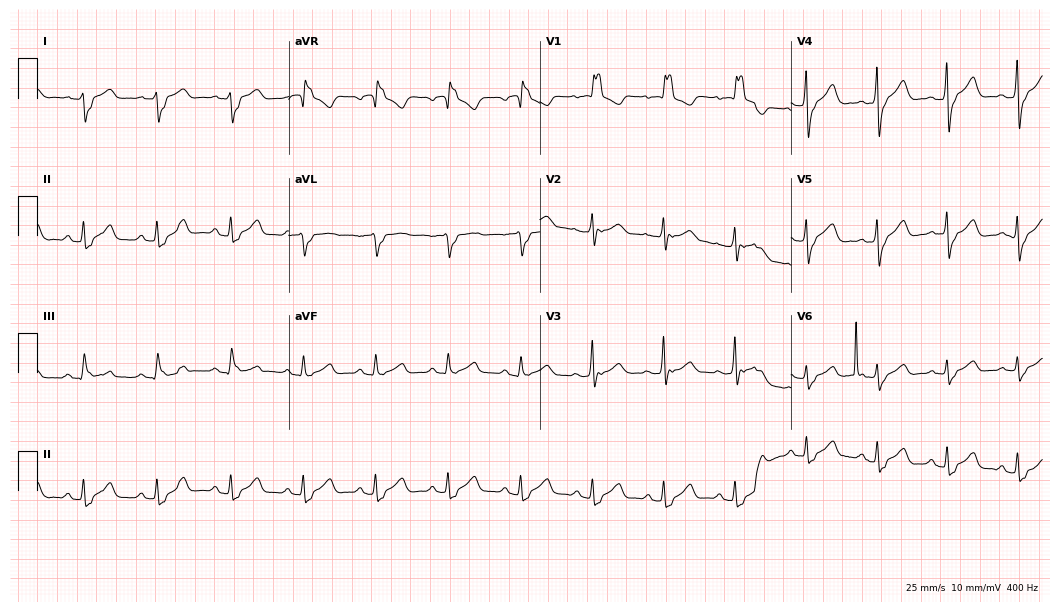
Standard 12-lead ECG recorded from a 73-year-old female (10.2-second recording at 400 Hz). The tracing shows right bundle branch block.